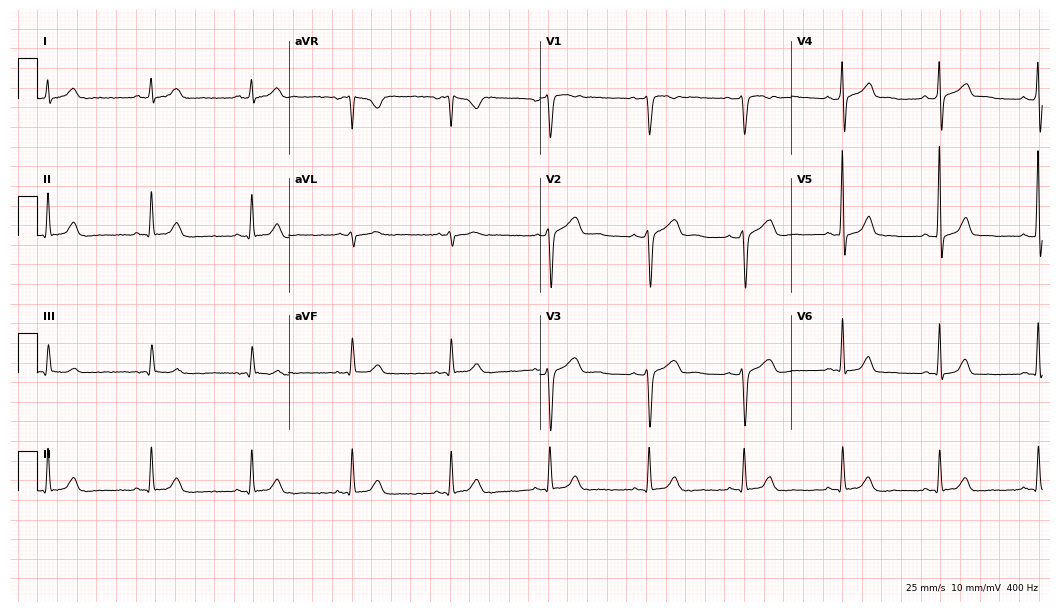
ECG — a male patient, 42 years old. Labelled as a normal ECG.